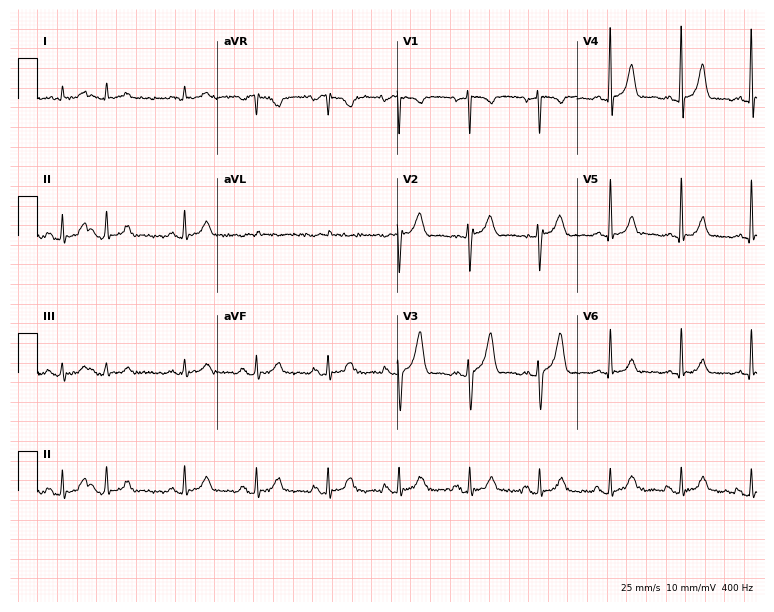
12-lead ECG from a male patient, 59 years old. Screened for six findings — first-degree AV block, right bundle branch block, left bundle branch block, sinus bradycardia, atrial fibrillation, sinus tachycardia — none is recorded.